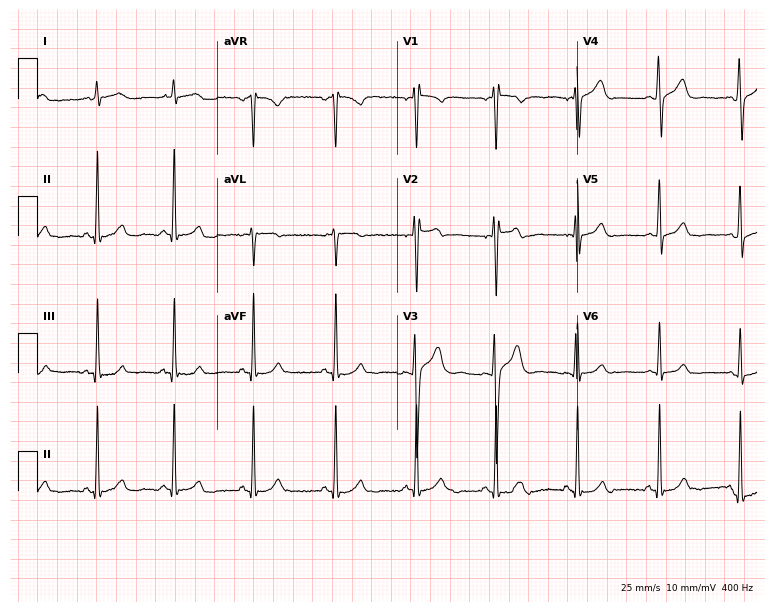
12-lead ECG from a man, 33 years old (7.3-second recording at 400 Hz). Recorded interpretation: within normal limits.